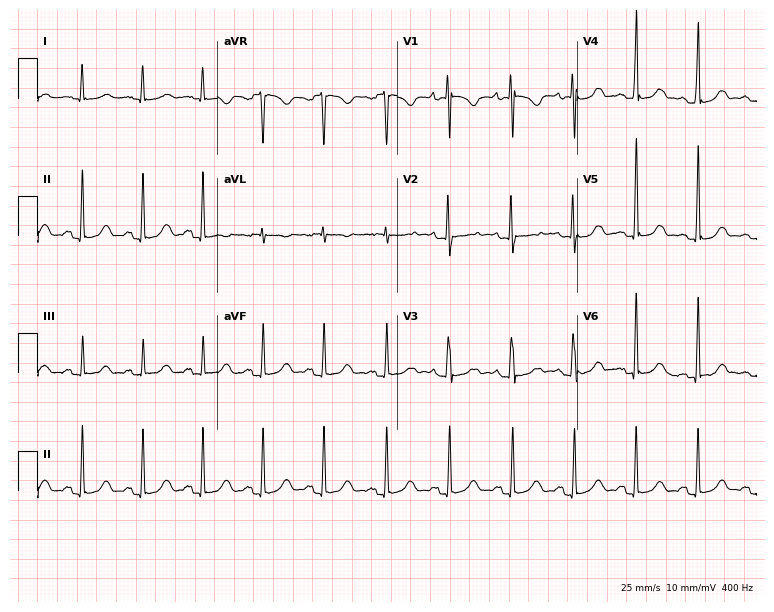
ECG — a woman, 34 years old. Labelled as a normal ECG.